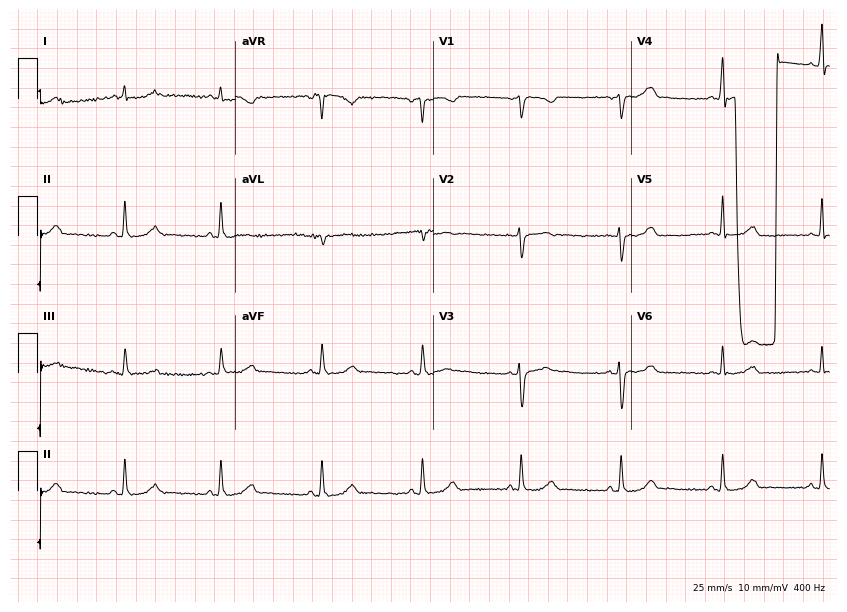
Resting 12-lead electrocardiogram (8.1-second recording at 400 Hz). Patient: a female, 34 years old. None of these six findings is recorded: first-degree AV block, right bundle branch block, left bundle branch block, sinus bradycardia, atrial fibrillation, sinus tachycardia. Only these six findings were labelled.